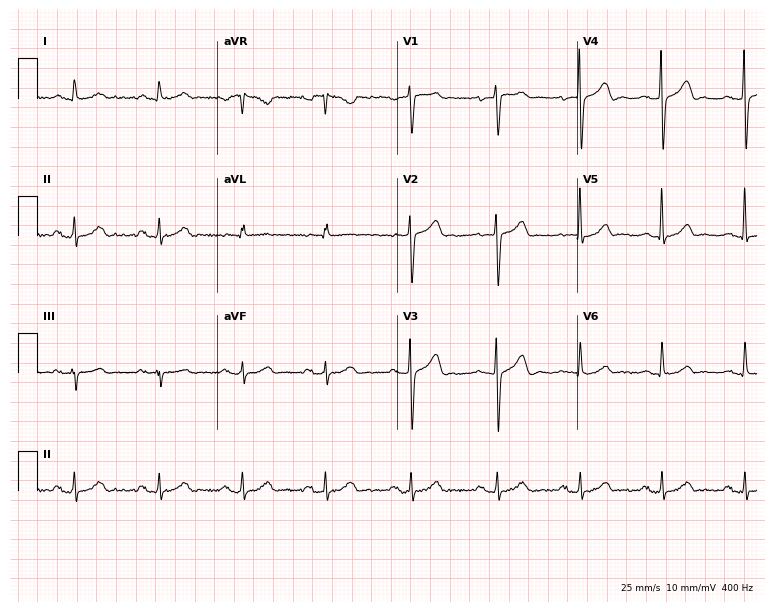
12-lead ECG from a male patient, 64 years old. No first-degree AV block, right bundle branch block (RBBB), left bundle branch block (LBBB), sinus bradycardia, atrial fibrillation (AF) or sinus tachycardia recorded for this tracing.